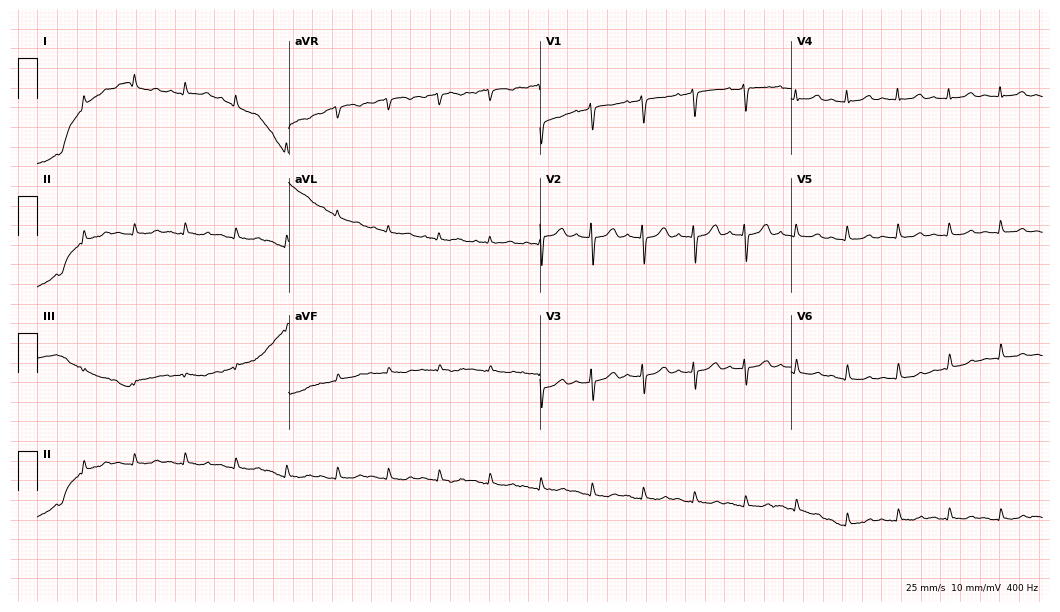
12-lead ECG from a 75-year-old female patient (10.2-second recording at 400 Hz). No first-degree AV block, right bundle branch block, left bundle branch block, sinus bradycardia, atrial fibrillation or sinus tachycardia recorded for this tracing.